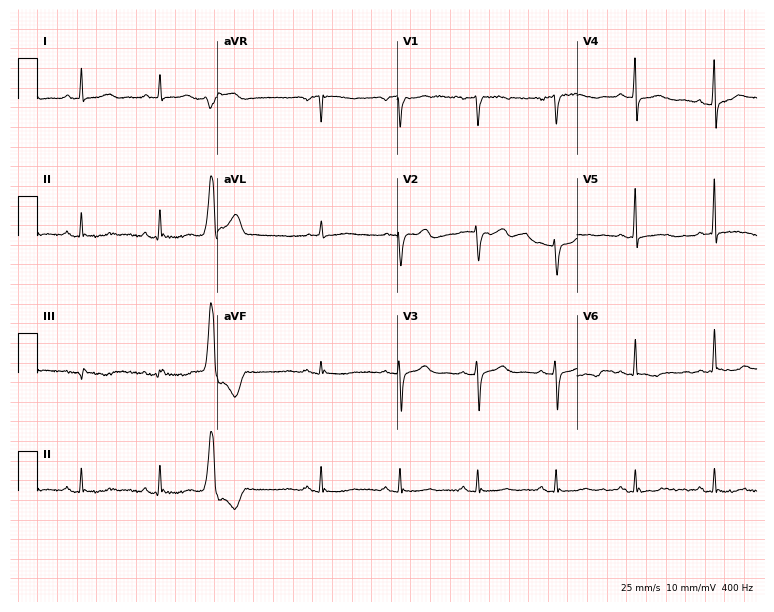
12-lead ECG from a woman, 61 years old (7.3-second recording at 400 Hz). No first-degree AV block, right bundle branch block (RBBB), left bundle branch block (LBBB), sinus bradycardia, atrial fibrillation (AF) or sinus tachycardia recorded for this tracing.